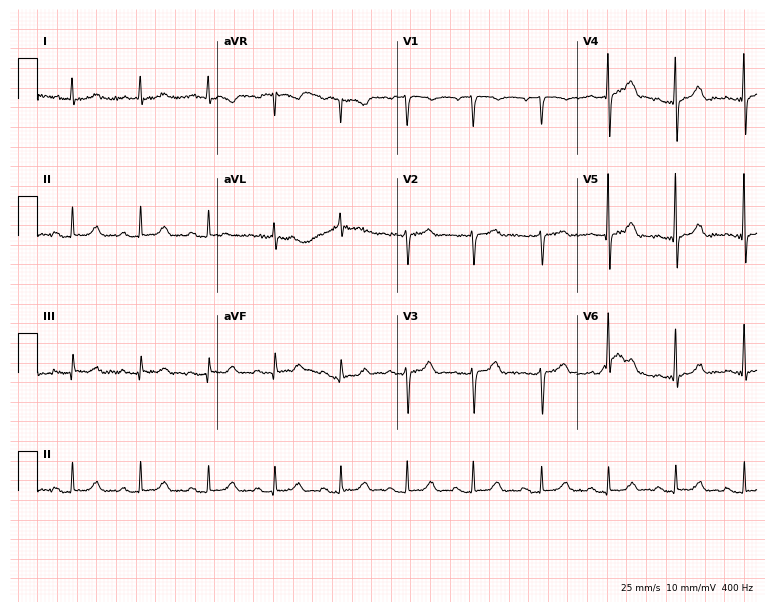
Electrocardiogram, a woman, 81 years old. Of the six screened findings (first-degree AV block, right bundle branch block (RBBB), left bundle branch block (LBBB), sinus bradycardia, atrial fibrillation (AF), sinus tachycardia), none is recorded. Findings outside these six are not listed.